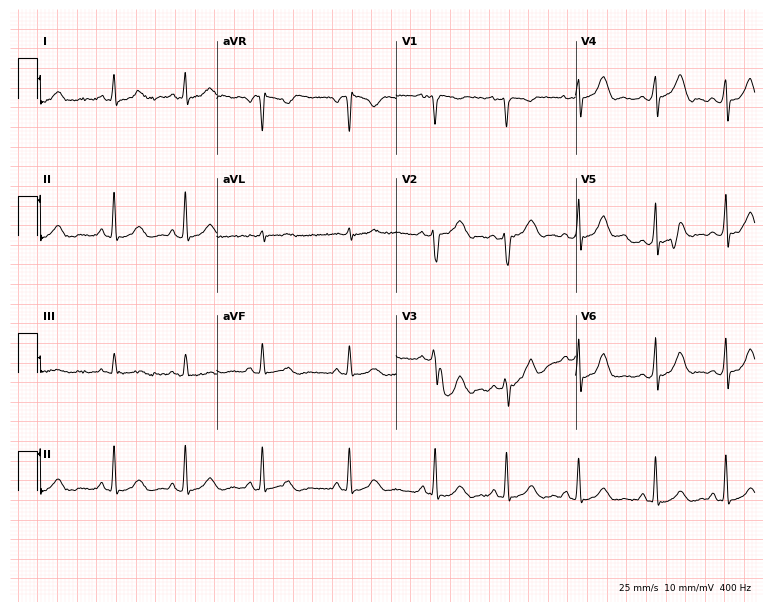
Resting 12-lead electrocardiogram (7.3-second recording at 400 Hz). Patient: a female, 22 years old. Read as a normal ECG.